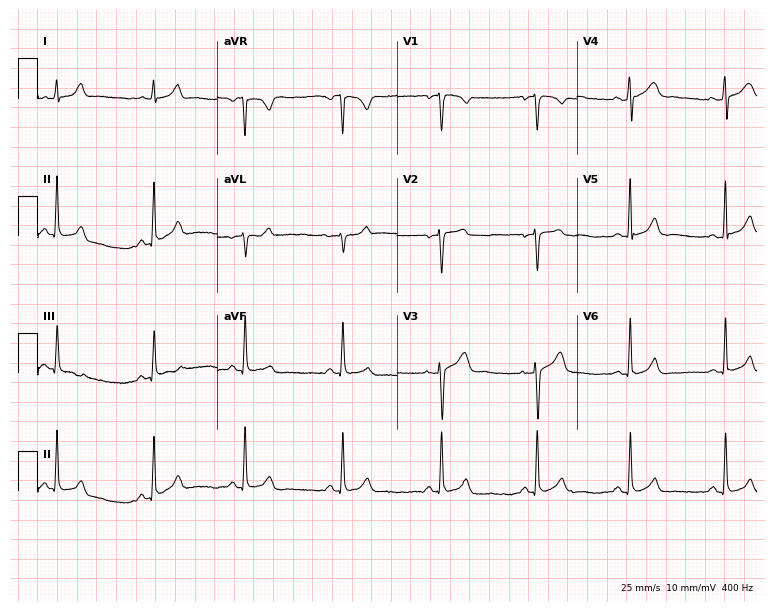
Standard 12-lead ECG recorded from a 34-year-old woman (7.3-second recording at 400 Hz). Read as a normal ECG.